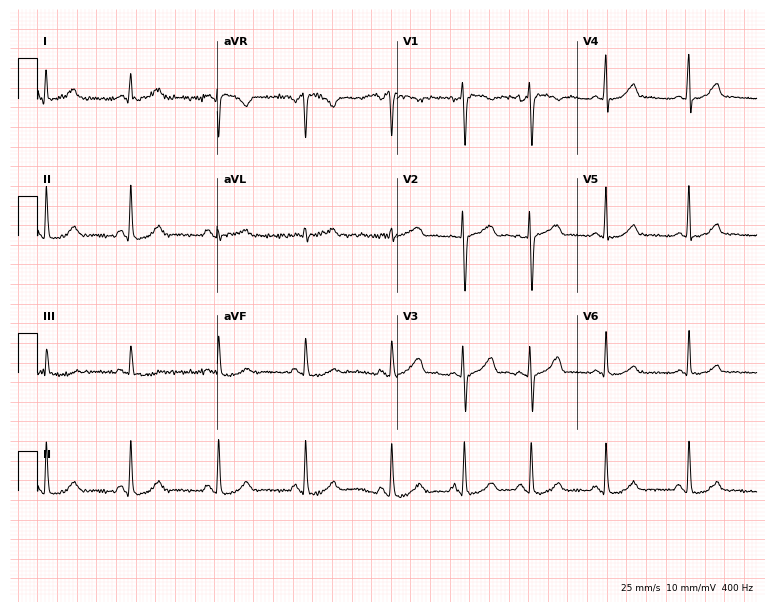
12-lead ECG from a 28-year-old female patient. Screened for six findings — first-degree AV block, right bundle branch block, left bundle branch block, sinus bradycardia, atrial fibrillation, sinus tachycardia — none is recorded.